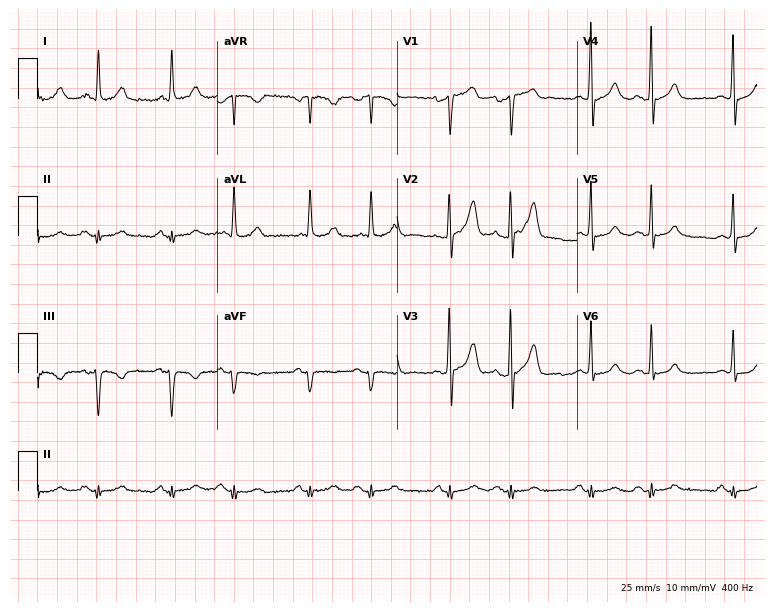
Standard 12-lead ECG recorded from a man, 74 years old (7.3-second recording at 400 Hz). None of these six findings is recorded: first-degree AV block, right bundle branch block (RBBB), left bundle branch block (LBBB), sinus bradycardia, atrial fibrillation (AF), sinus tachycardia.